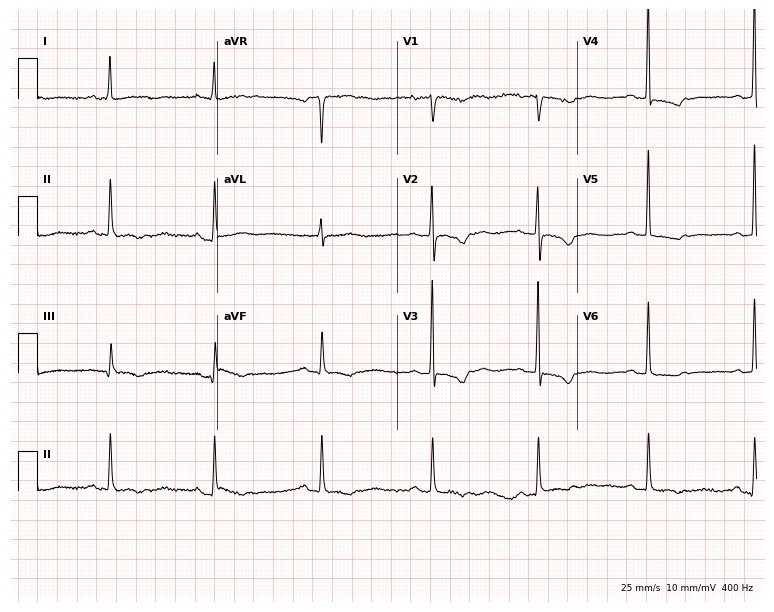
ECG — a woman, 76 years old. Screened for six findings — first-degree AV block, right bundle branch block, left bundle branch block, sinus bradycardia, atrial fibrillation, sinus tachycardia — none is recorded. Only these six findings were labelled.